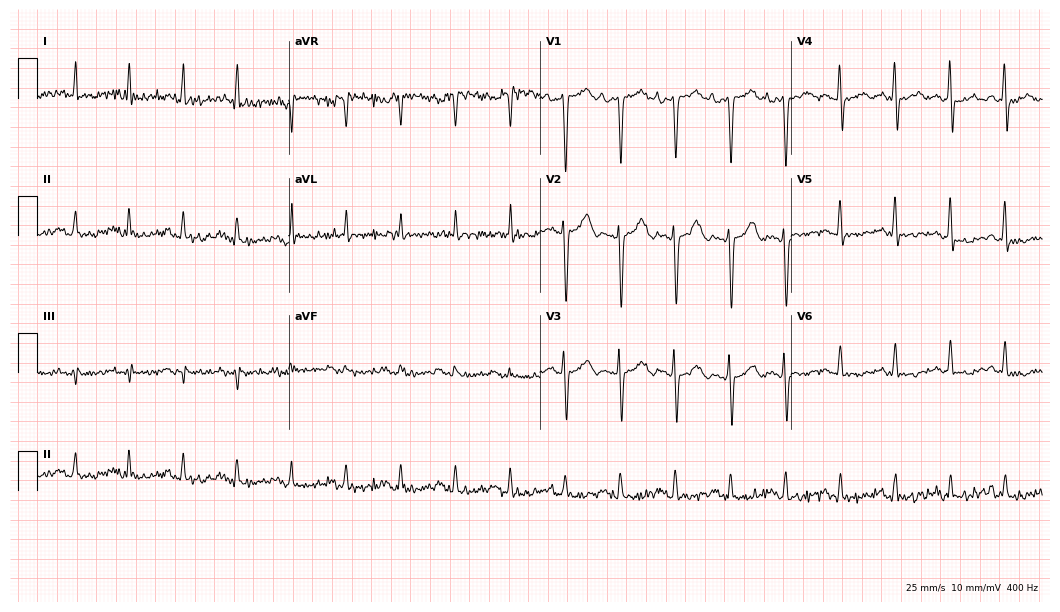
12-lead ECG from a male, 63 years old (10.2-second recording at 400 Hz). No first-degree AV block, right bundle branch block, left bundle branch block, sinus bradycardia, atrial fibrillation or sinus tachycardia recorded for this tracing.